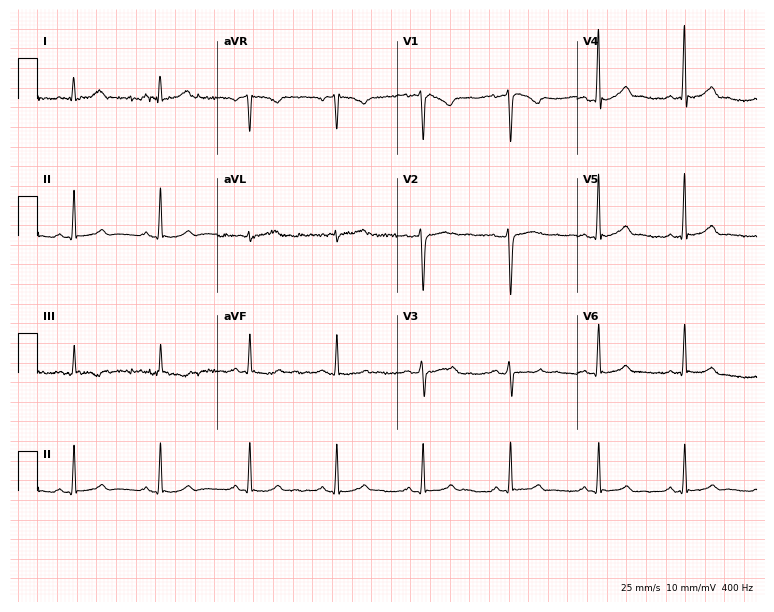
Resting 12-lead electrocardiogram. Patient: a 39-year-old woman. Read as a normal ECG.